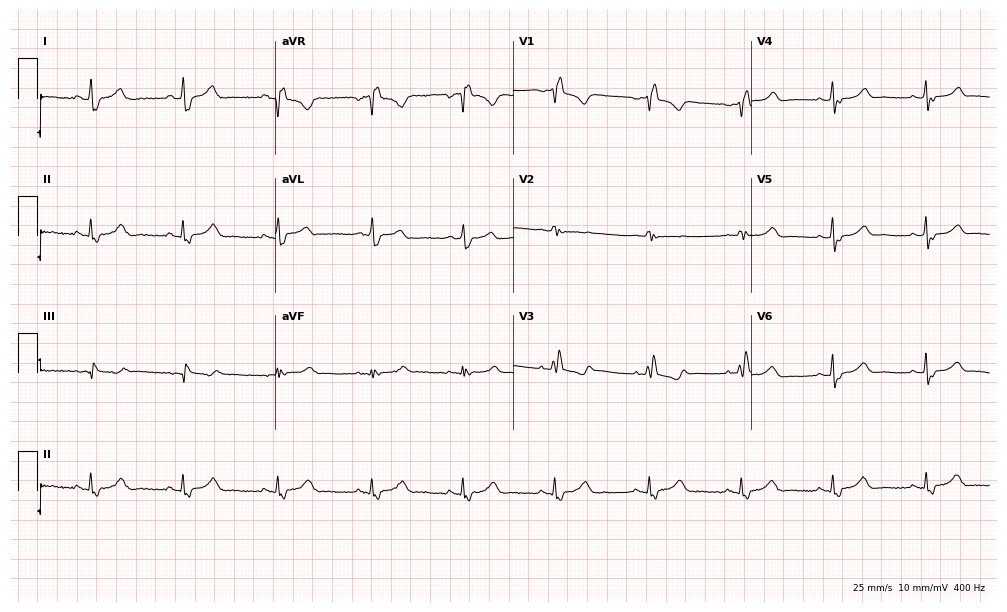
12-lead ECG (9.7-second recording at 400 Hz) from a female patient, 64 years old. Findings include right bundle branch block.